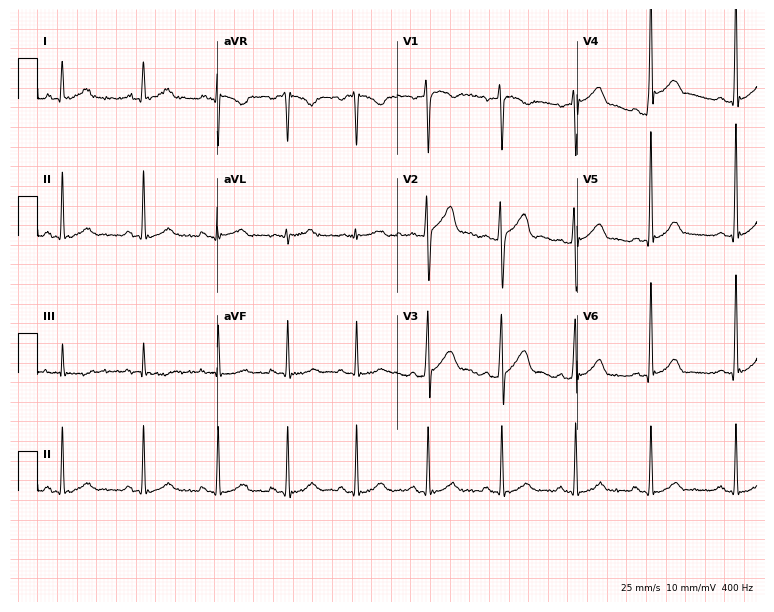
Resting 12-lead electrocardiogram. Patient: a male, 37 years old. None of these six findings is recorded: first-degree AV block, right bundle branch block, left bundle branch block, sinus bradycardia, atrial fibrillation, sinus tachycardia. Other findings, if any, are not listed.